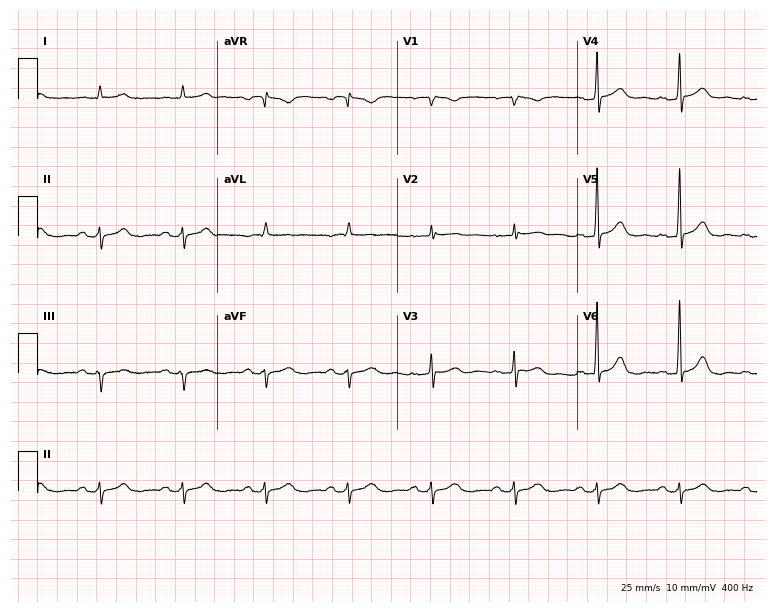
ECG (7.3-second recording at 400 Hz) — a man, 85 years old. Screened for six findings — first-degree AV block, right bundle branch block, left bundle branch block, sinus bradycardia, atrial fibrillation, sinus tachycardia — none is recorded.